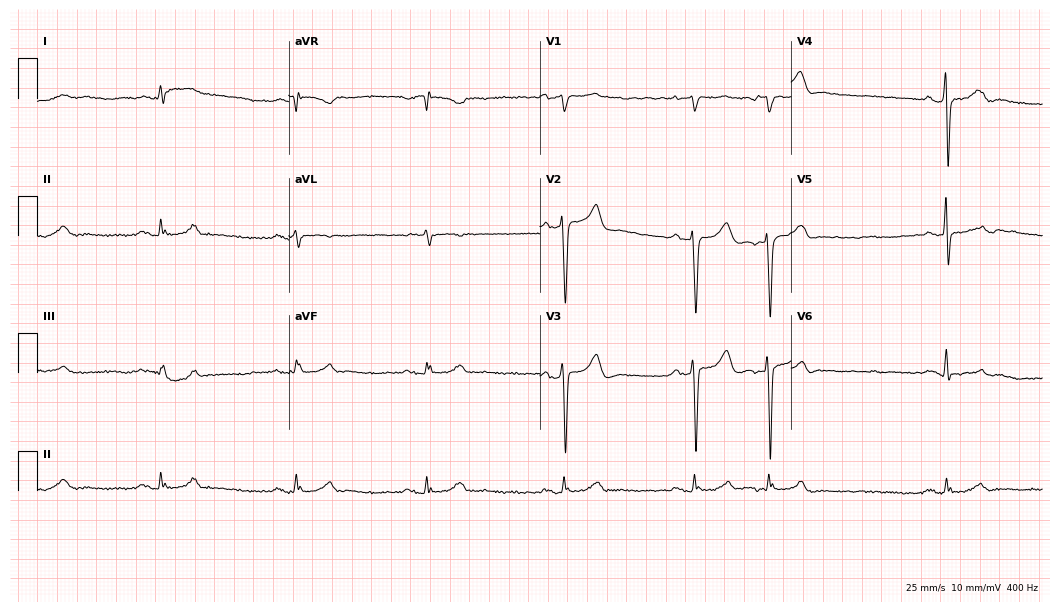
12-lead ECG from a male patient, 72 years old. Findings include sinus bradycardia (a sinus rate of 50 beats per minute or less).